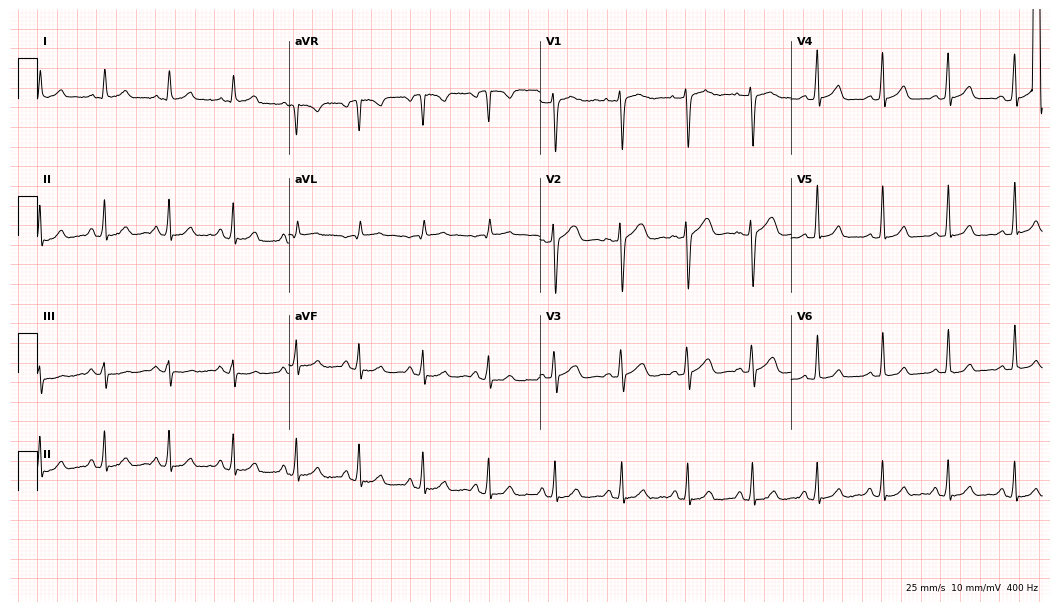
12-lead ECG (10.2-second recording at 400 Hz) from a 33-year-old female. Screened for six findings — first-degree AV block, right bundle branch block, left bundle branch block, sinus bradycardia, atrial fibrillation, sinus tachycardia — none is recorded. Findings outside these six are not listed.